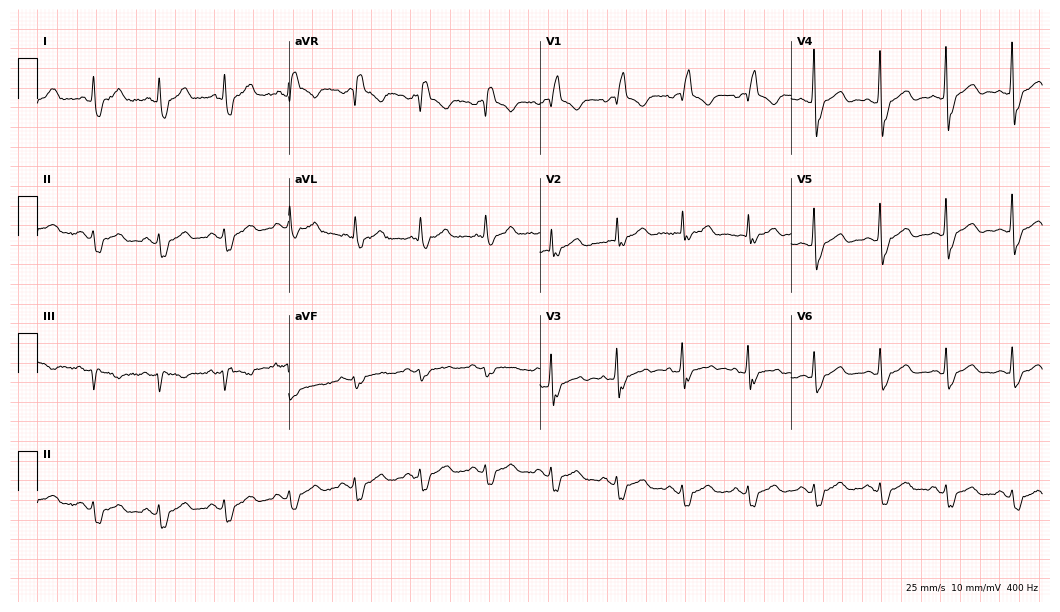
Standard 12-lead ECG recorded from a 72-year-old female patient (10.2-second recording at 400 Hz). The tracing shows right bundle branch block.